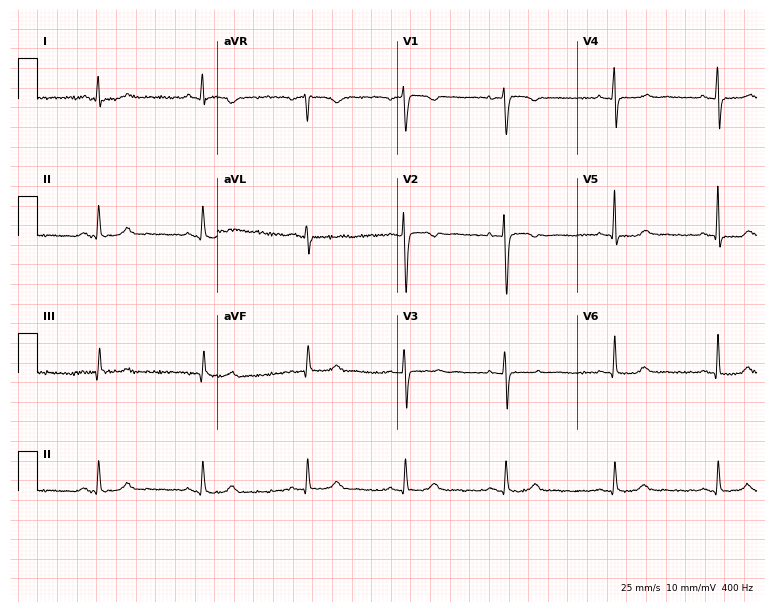
12-lead ECG from a 45-year-old female. Screened for six findings — first-degree AV block, right bundle branch block, left bundle branch block, sinus bradycardia, atrial fibrillation, sinus tachycardia — none is recorded. Findings outside these six are not listed.